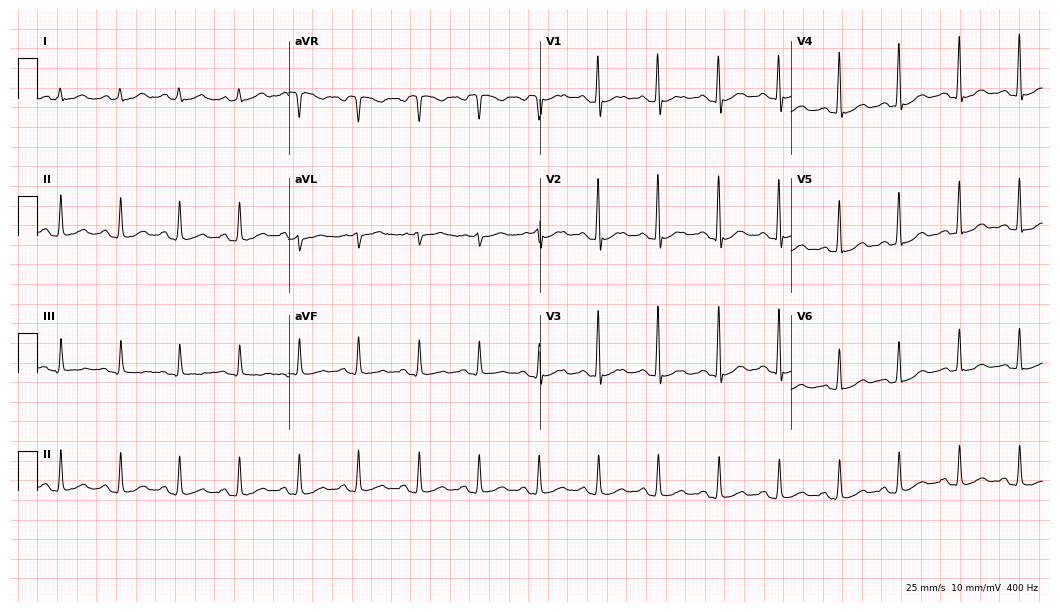
Standard 12-lead ECG recorded from a 72-year-old male (10.2-second recording at 400 Hz). None of these six findings is recorded: first-degree AV block, right bundle branch block, left bundle branch block, sinus bradycardia, atrial fibrillation, sinus tachycardia. Findings outside these six are not listed.